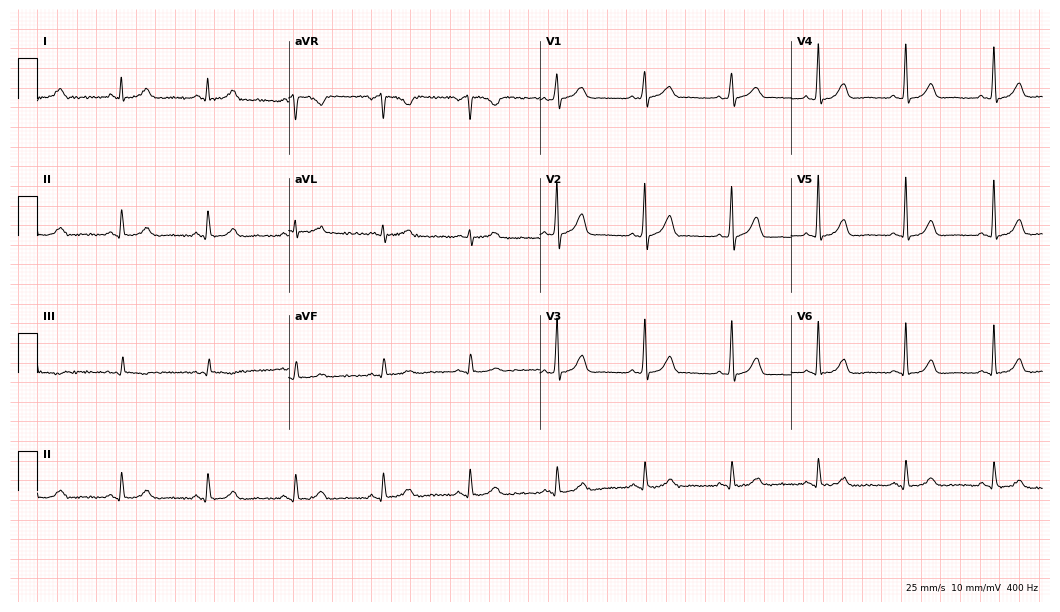
12-lead ECG from a female, 62 years old (10.2-second recording at 400 Hz). Recorded interpretation: within normal limits.